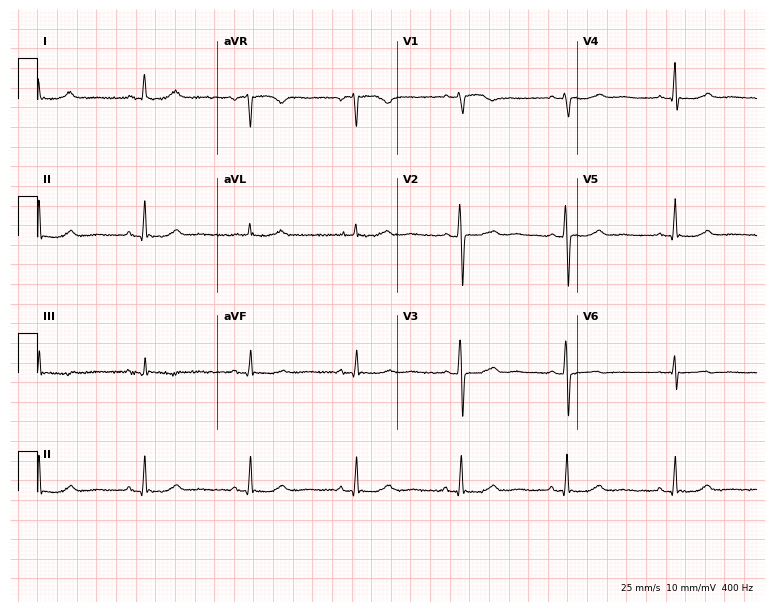
Electrocardiogram (7.3-second recording at 400 Hz), a 70-year-old woman. Of the six screened findings (first-degree AV block, right bundle branch block (RBBB), left bundle branch block (LBBB), sinus bradycardia, atrial fibrillation (AF), sinus tachycardia), none is recorded.